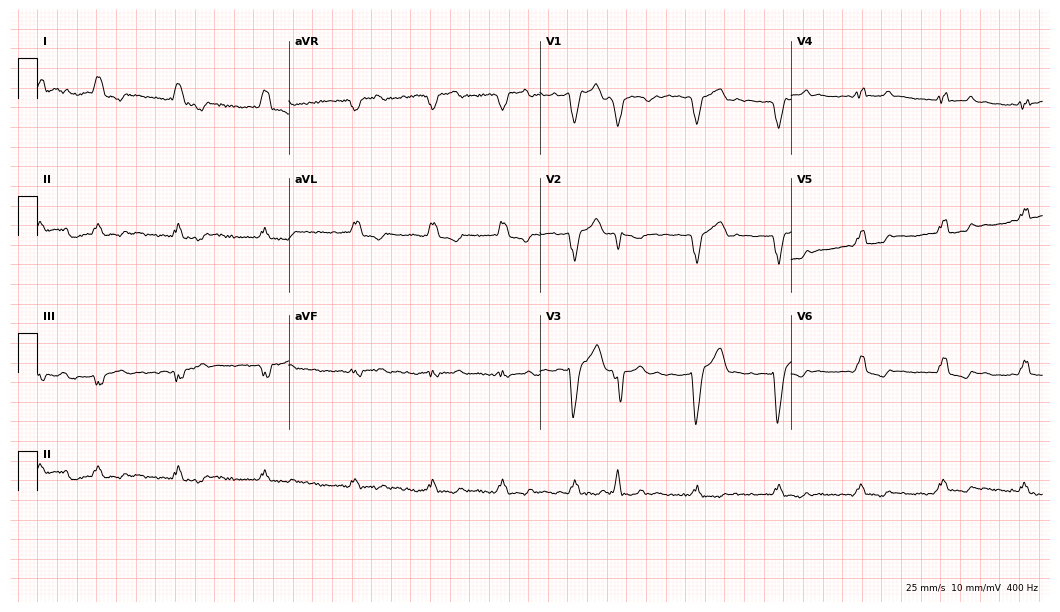
Electrocardiogram (10.2-second recording at 400 Hz), a woman, 77 years old. Interpretation includes left bundle branch block, atrial fibrillation.